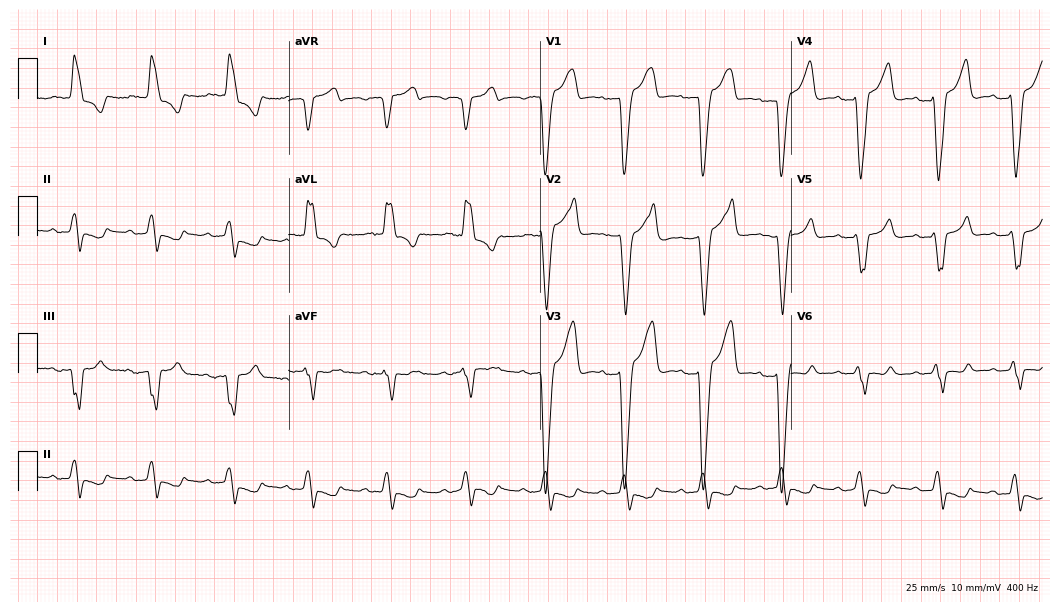
ECG — a 71-year-old female patient. Findings include left bundle branch block.